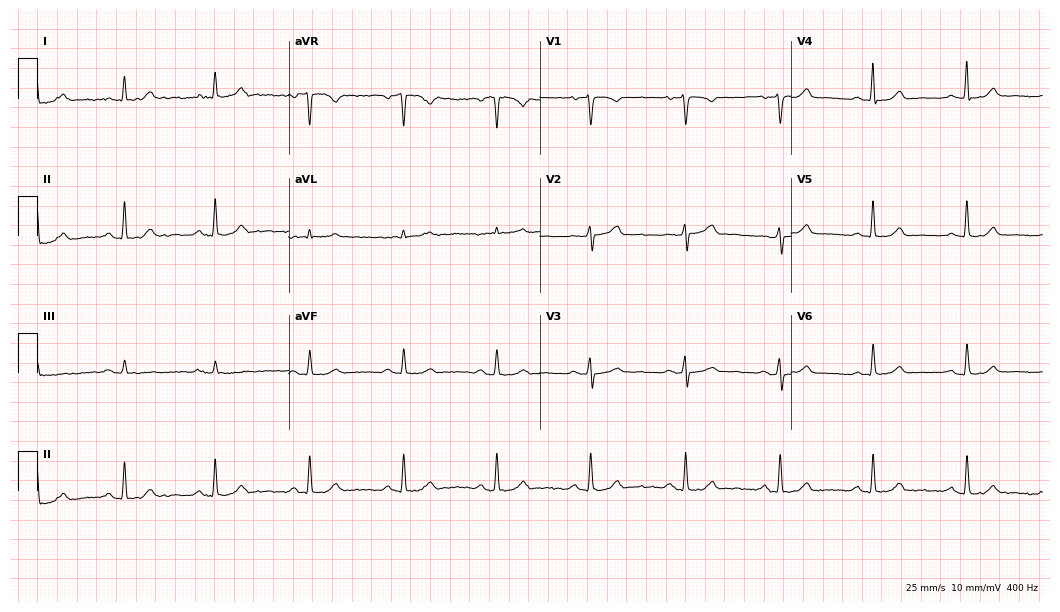
ECG — a 58-year-old female patient. Screened for six findings — first-degree AV block, right bundle branch block, left bundle branch block, sinus bradycardia, atrial fibrillation, sinus tachycardia — none is recorded. Findings outside these six are not listed.